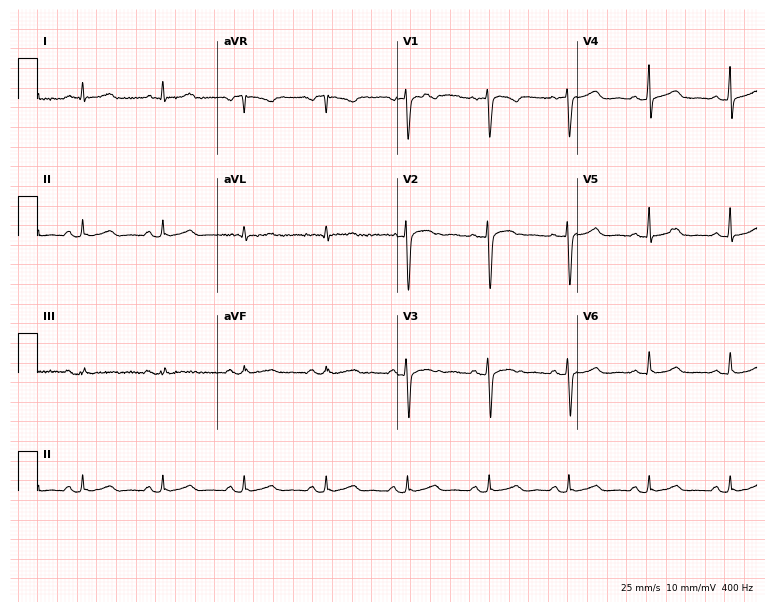
12-lead ECG (7.3-second recording at 400 Hz) from a female, 58 years old. Labelled as a normal ECG.